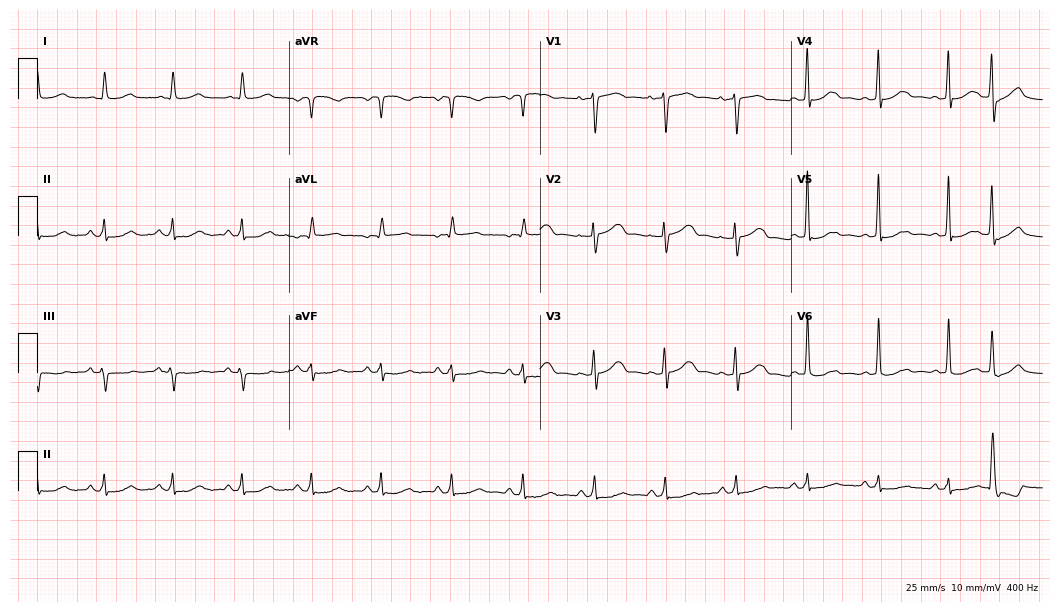
Standard 12-lead ECG recorded from an 83-year-old female. Read as a normal ECG.